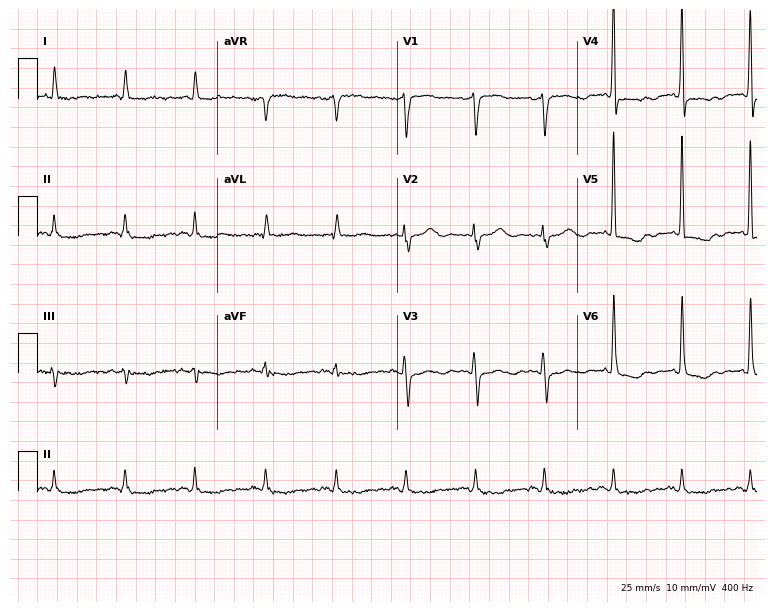
Standard 12-lead ECG recorded from a 69-year-old female. None of these six findings is recorded: first-degree AV block, right bundle branch block, left bundle branch block, sinus bradycardia, atrial fibrillation, sinus tachycardia. Findings outside these six are not listed.